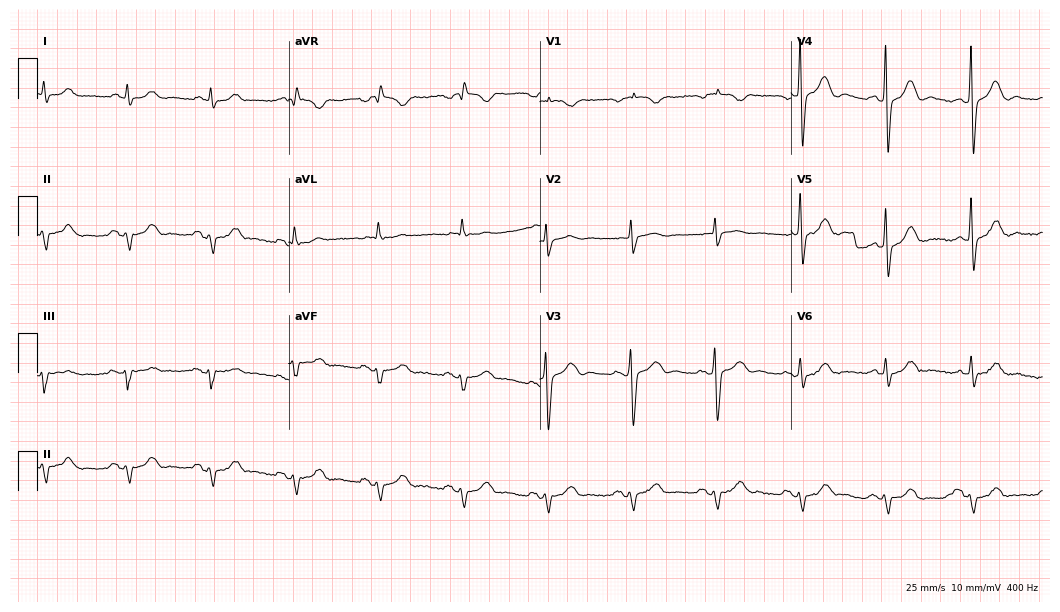
Resting 12-lead electrocardiogram (10.2-second recording at 400 Hz). Patient: a man, 77 years old. None of these six findings is recorded: first-degree AV block, right bundle branch block, left bundle branch block, sinus bradycardia, atrial fibrillation, sinus tachycardia. Other findings, if any, are not listed.